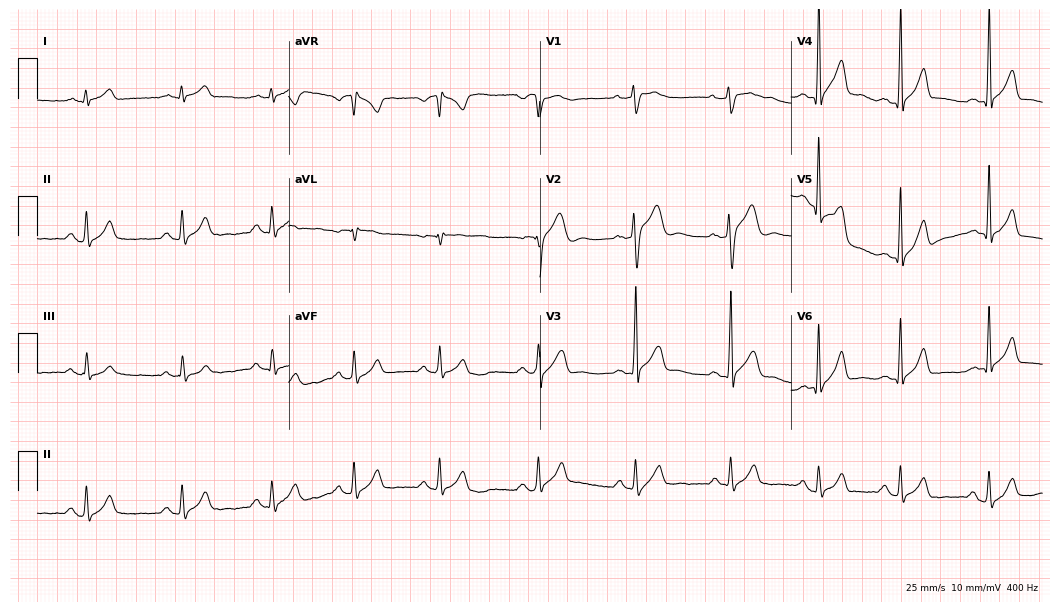
12-lead ECG (10.2-second recording at 400 Hz) from a male, 30 years old. Labelled as a normal ECG.